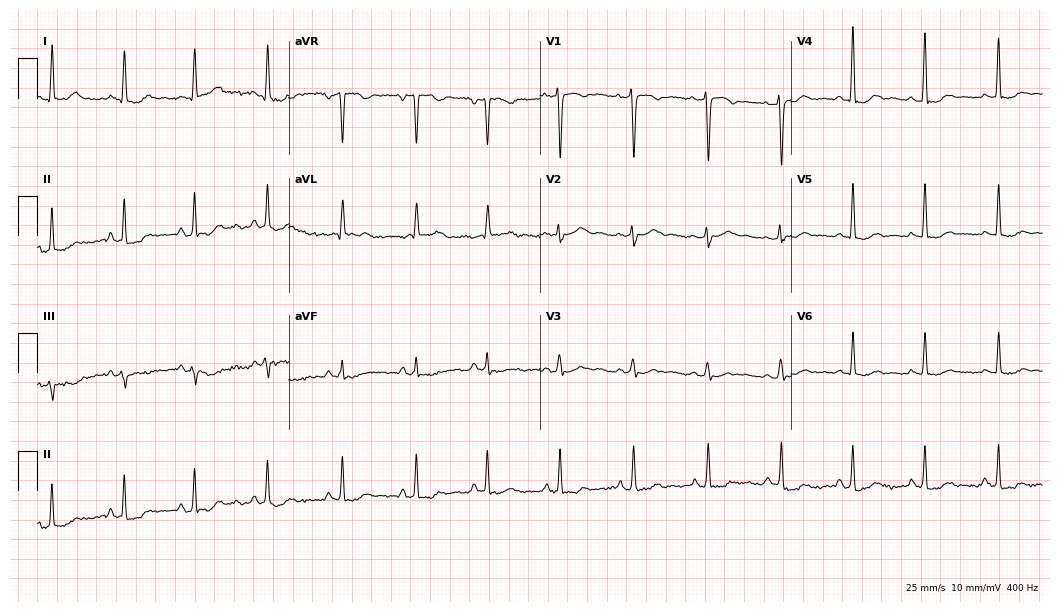
Standard 12-lead ECG recorded from a female, 46 years old (10.2-second recording at 400 Hz). None of these six findings is recorded: first-degree AV block, right bundle branch block, left bundle branch block, sinus bradycardia, atrial fibrillation, sinus tachycardia.